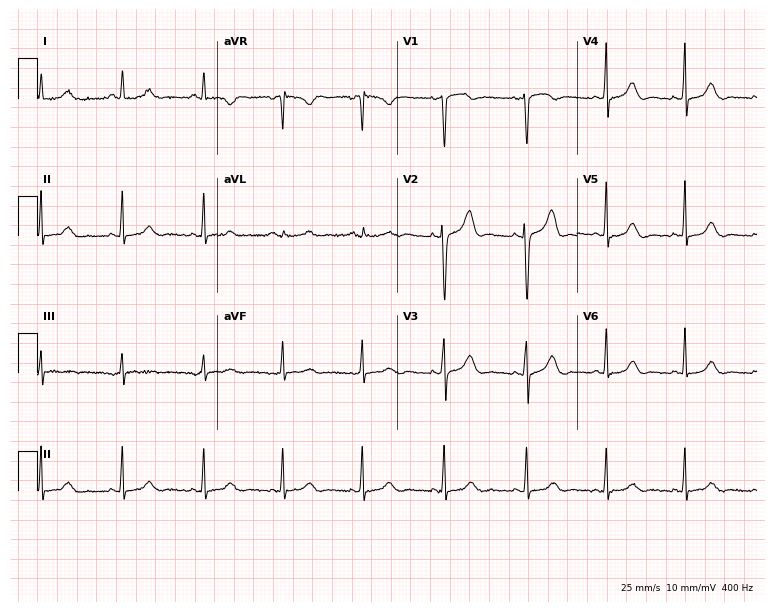
12-lead ECG (7.3-second recording at 400 Hz) from a 50-year-old woman. Screened for six findings — first-degree AV block, right bundle branch block (RBBB), left bundle branch block (LBBB), sinus bradycardia, atrial fibrillation (AF), sinus tachycardia — none is recorded.